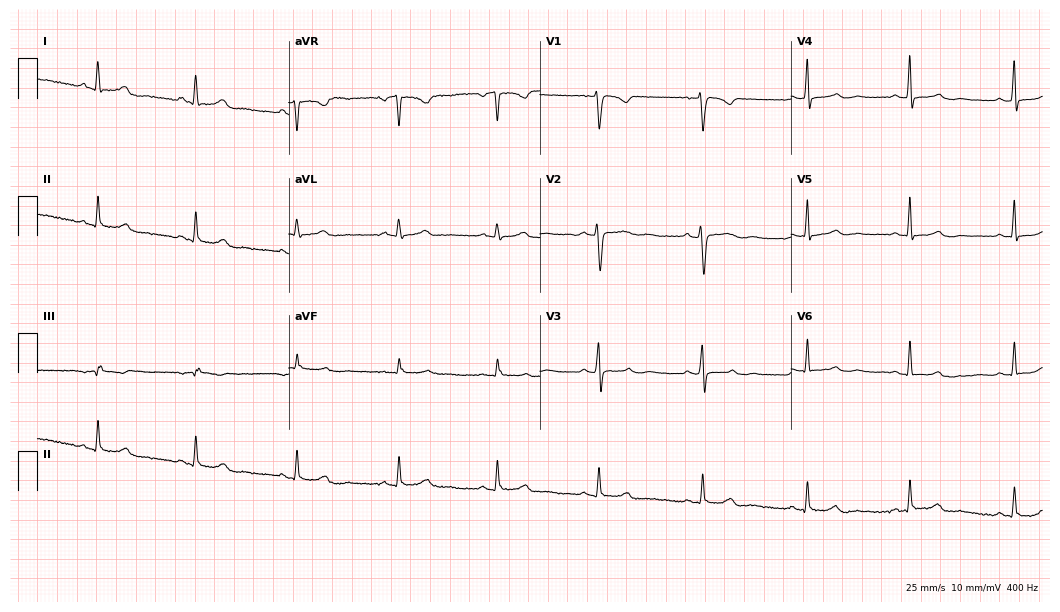
12-lead ECG from a woman, 56 years old. Recorded interpretation: within normal limits.